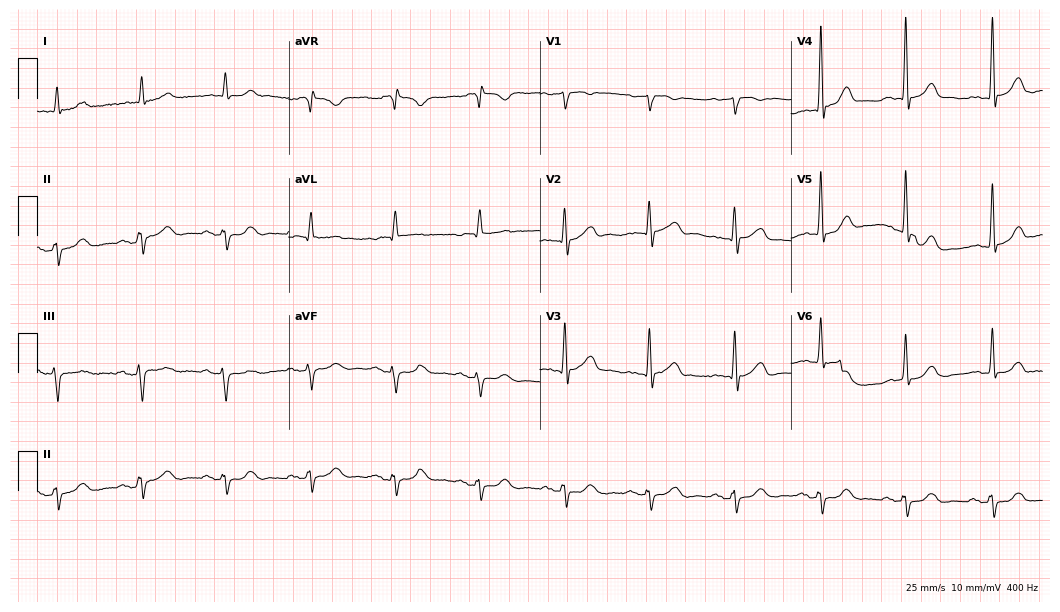
Resting 12-lead electrocardiogram. Patient: a man, 79 years old. None of these six findings is recorded: first-degree AV block, right bundle branch block (RBBB), left bundle branch block (LBBB), sinus bradycardia, atrial fibrillation (AF), sinus tachycardia.